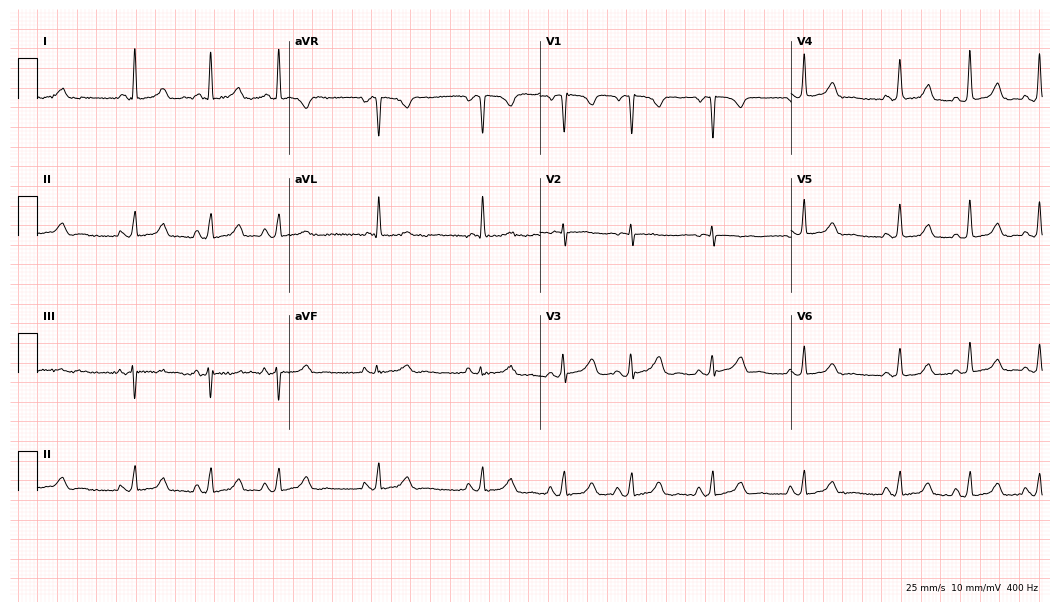
Standard 12-lead ECG recorded from a 34-year-old woman (10.2-second recording at 400 Hz). None of these six findings is recorded: first-degree AV block, right bundle branch block, left bundle branch block, sinus bradycardia, atrial fibrillation, sinus tachycardia.